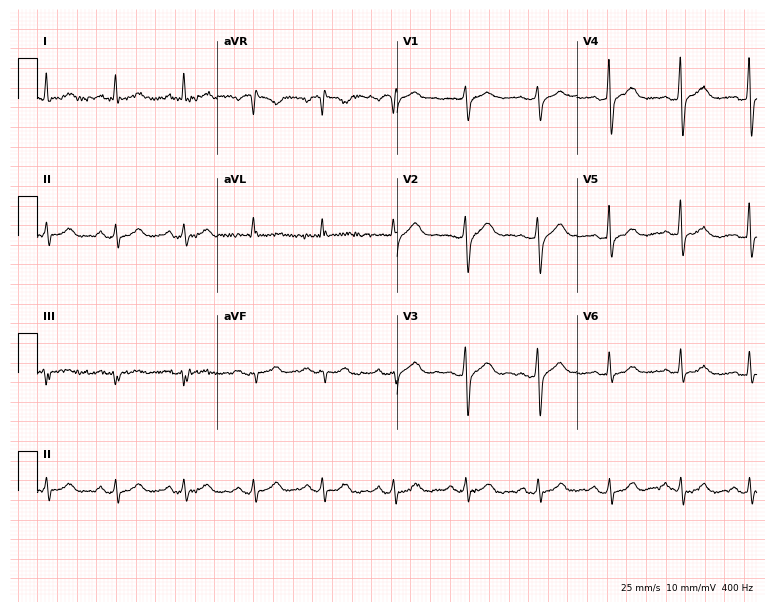
Standard 12-lead ECG recorded from a male patient, 40 years old. Read as a normal ECG.